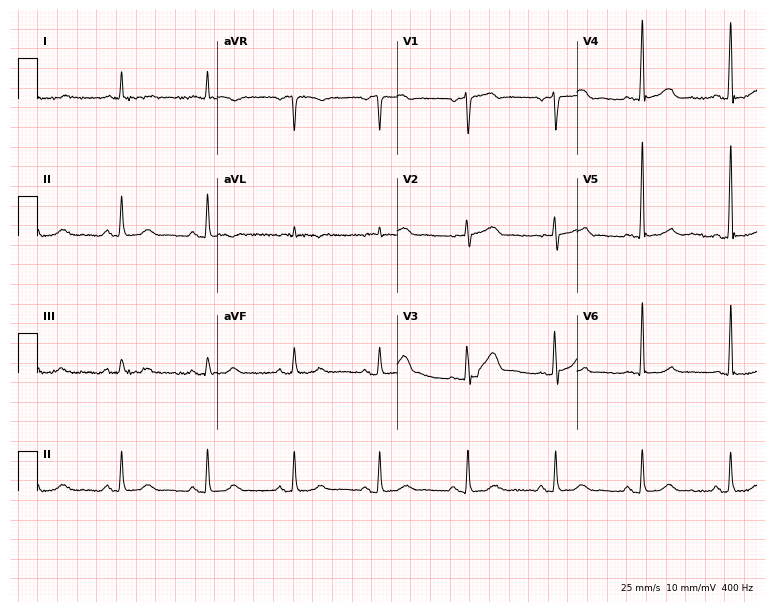
12-lead ECG (7.3-second recording at 400 Hz) from an 82-year-old male patient. Labelled as a normal ECG.